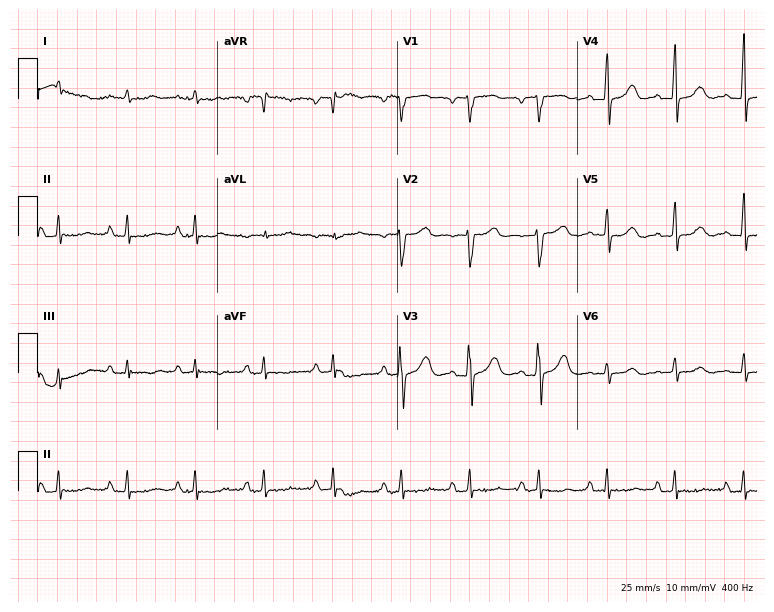
Standard 12-lead ECG recorded from a man, 62 years old. None of these six findings is recorded: first-degree AV block, right bundle branch block (RBBB), left bundle branch block (LBBB), sinus bradycardia, atrial fibrillation (AF), sinus tachycardia. Findings outside these six are not listed.